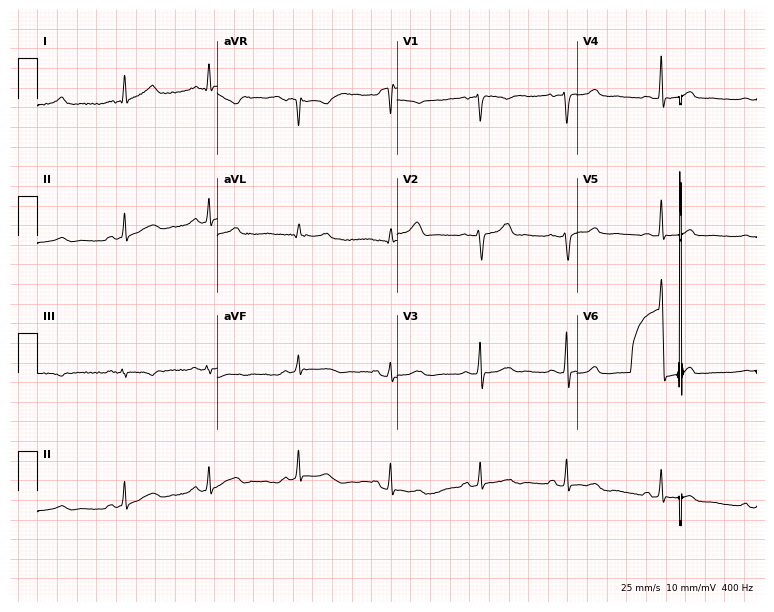
12-lead ECG (7.3-second recording at 400 Hz) from a 24-year-old woman. Screened for six findings — first-degree AV block, right bundle branch block, left bundle branch block, sinus bradycardia, atrial fibrillation, sinus tachycardia — none is recorded. Only these six findings were labelled.